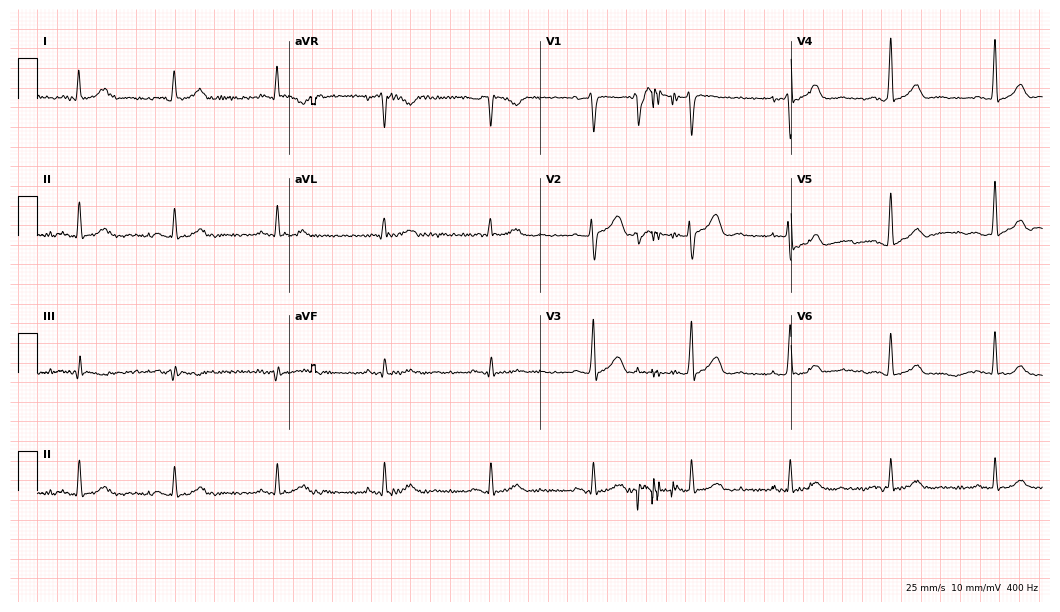
ECG (10.2-second recording at 400 Hz) — a 32-year-old male patient. Labelled as a normal ECG.